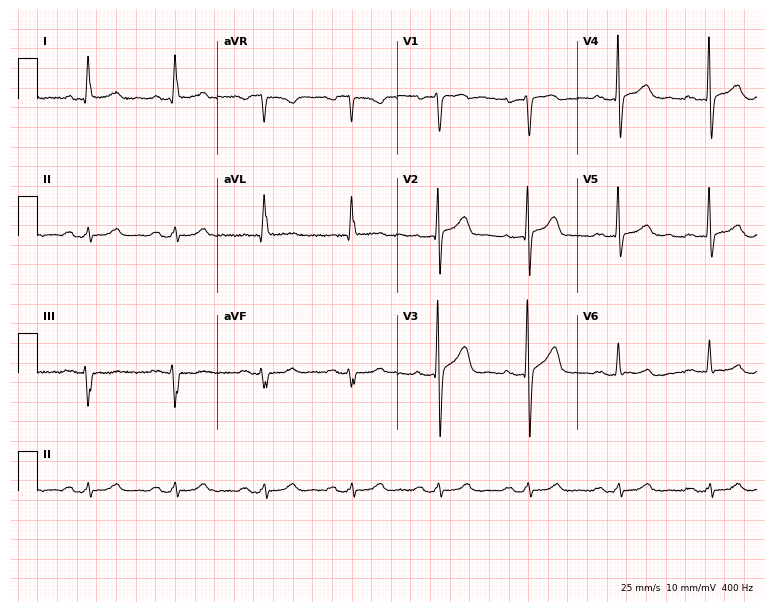
ECG (7.3-second recording at 400 Hz) — a 61-year-old man. Screened for six findings — first-degree AV block, right bundle branch block, left bundle branch block, sinus bradycardia, atrial fibrillation, sinus tachycardia — none is recorded.